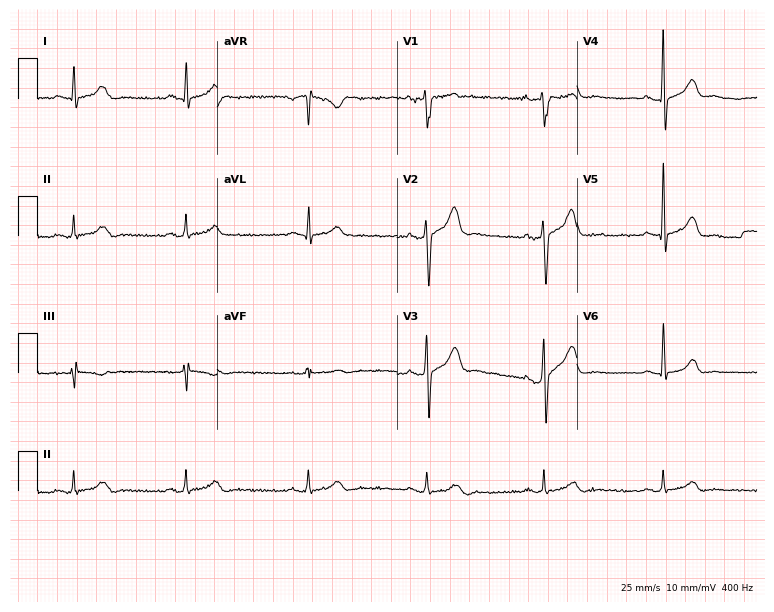
Resting 12-lead electrocardiogram. Patient: a male, 35 years old. The tracing shows sinus bradycardia (a sinus rate of 50 beats per minute or less).